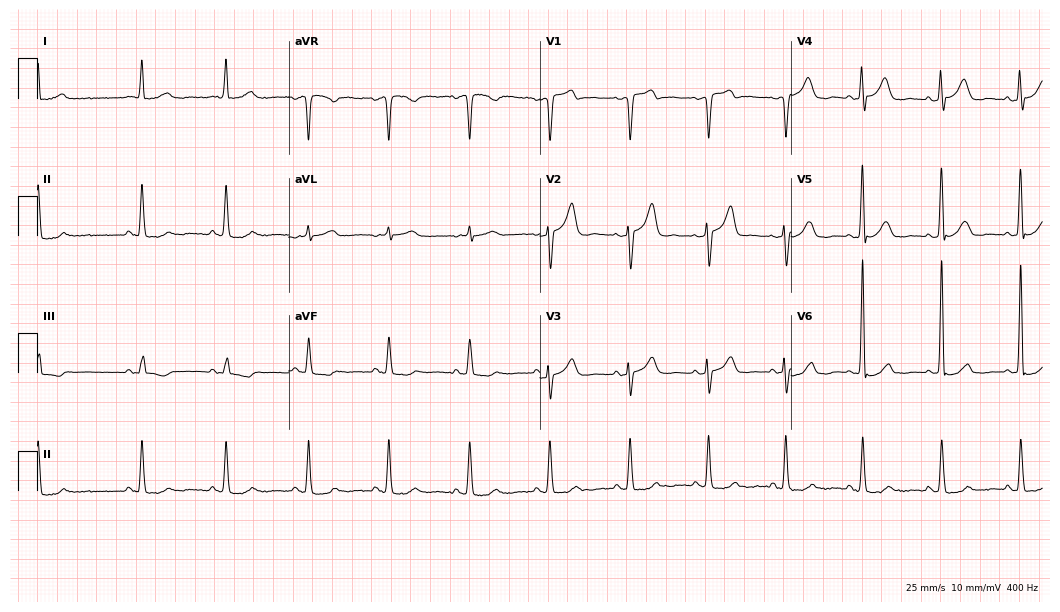
Standard 12-lead ECG recorded from a male patient, 59 years old. Read as a normal ECG.